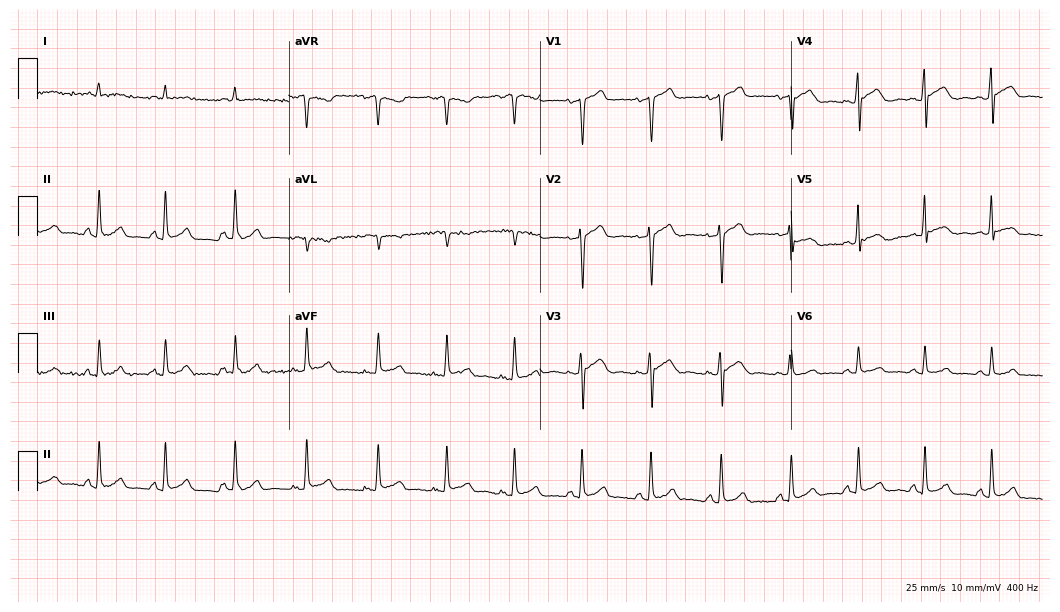
Resting 12-lead electrocardiogram. Patient: a 52-year-old male. Read as a normal ECG.